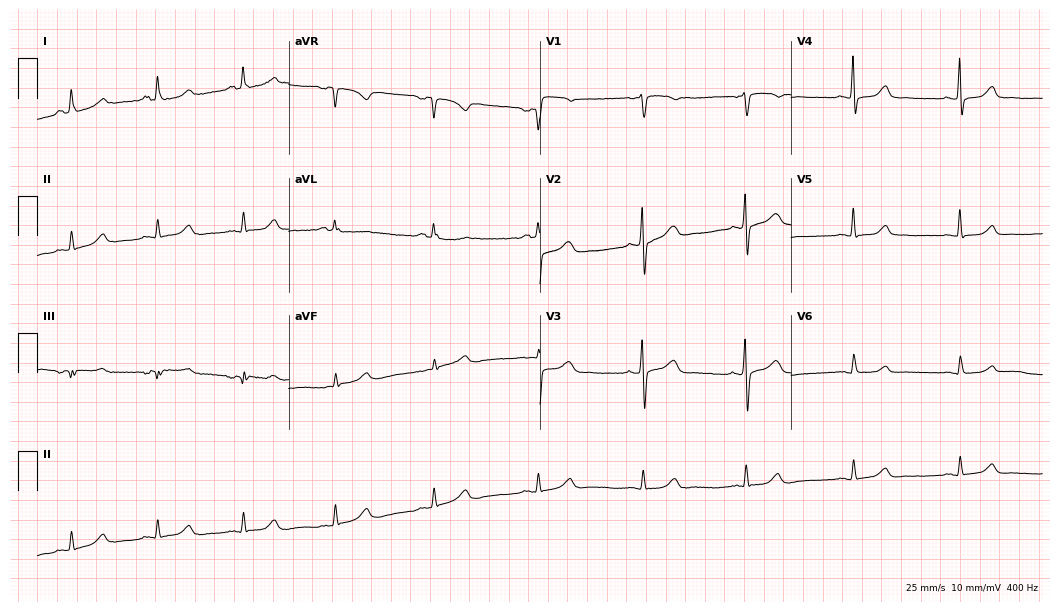
12-lead ECG from a 67-year-old female patient. Recorded interpretation: within normal limits.